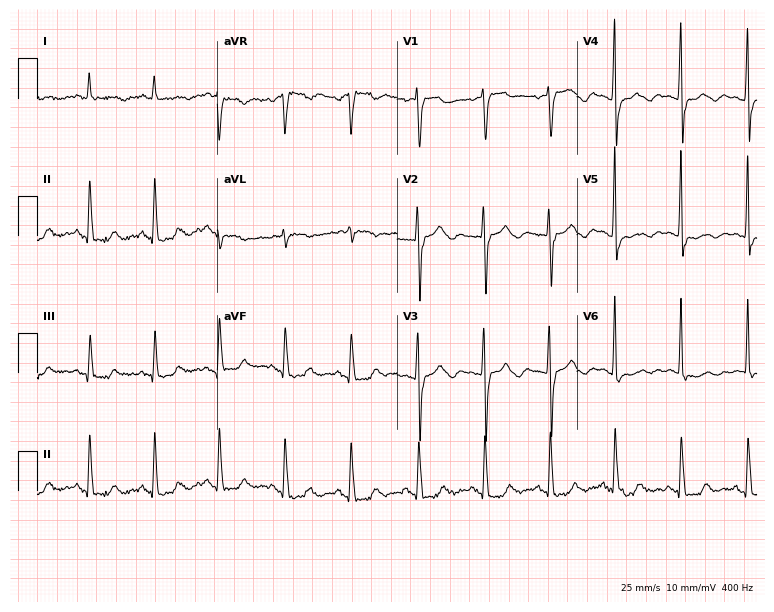
12-lead ECG from an 82-year-old female. No first-degree AV block, right bundle branch block (RBBB), left bundle branch block (LBBB), sinus bradycardia, atrial fibrillation (AF) or sinus tachycardia recorded for this tracing.